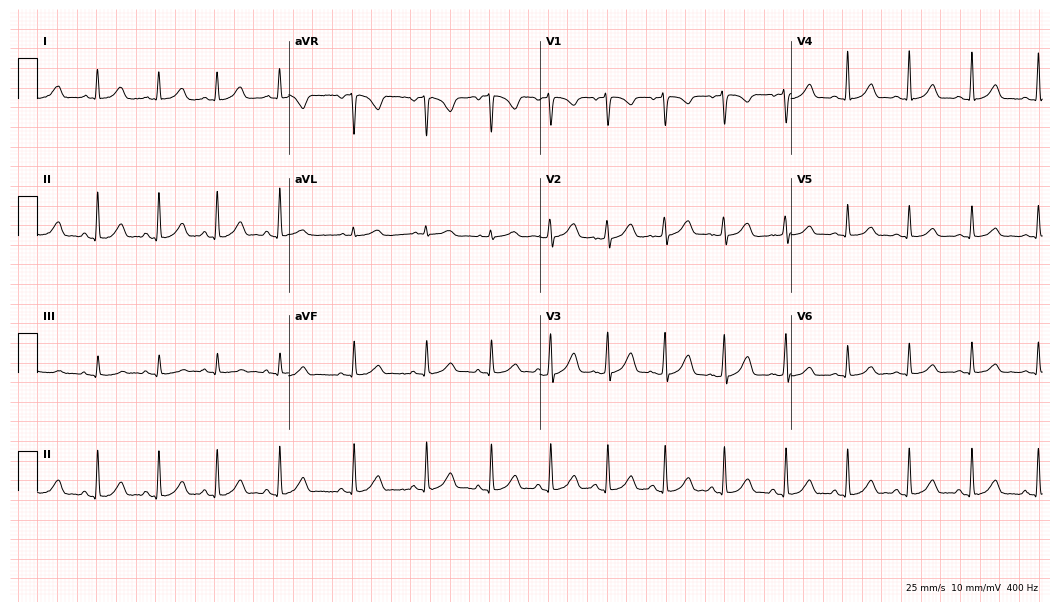
Resting 12-lead electrocardiogram. Patient: an 18-year-old woman. Read as a normal ECG.